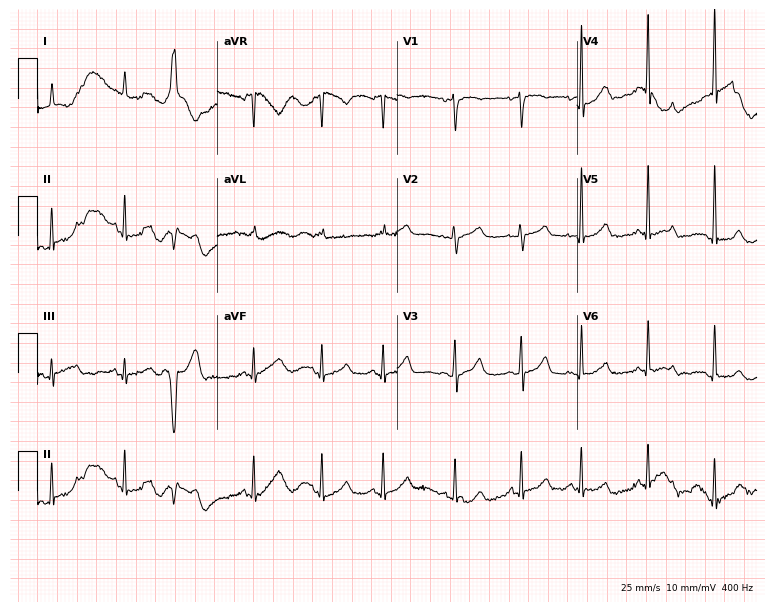
Resting 12-lead electrocardiogram (7.3-second recording at 400 Hz). Patient: a 79-year-old woman. None of these six findings is recorded: first-degree AV block, right bundle branch block, left bundle branch block, sinus bradycardia, atrial fibrillation, sinus tachycardia. Findings outside these six are not listed.